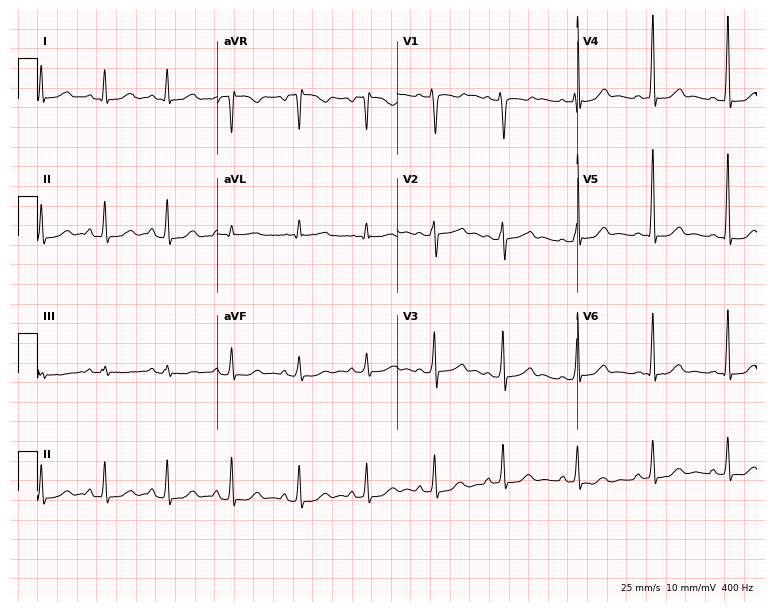
12-lead ECG from a female patient, 30 years old. Screened for six findings — first-degree AV block, right bundle branch block, left bundle branch block, sinus bradycardia, atrial fibrillation, sinus tachycardia — none is recorded. Other findings, if any, are not listed.